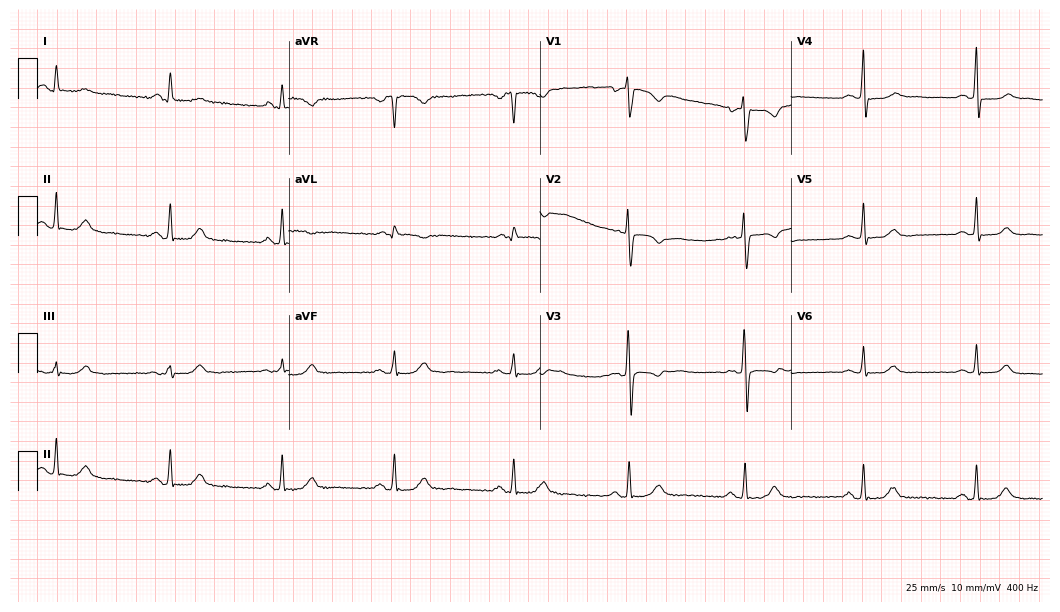
12-lead ECG (10.2-second recording at 400 Hz) from a female patient, 55 years old. Screened for six findings — first-degree AV block, right bundle branch block, left bundle branch block, sinus bradycardia, atrial fibrillation, sinus tachycardia — none is recorded. Only these six findings were labelled.